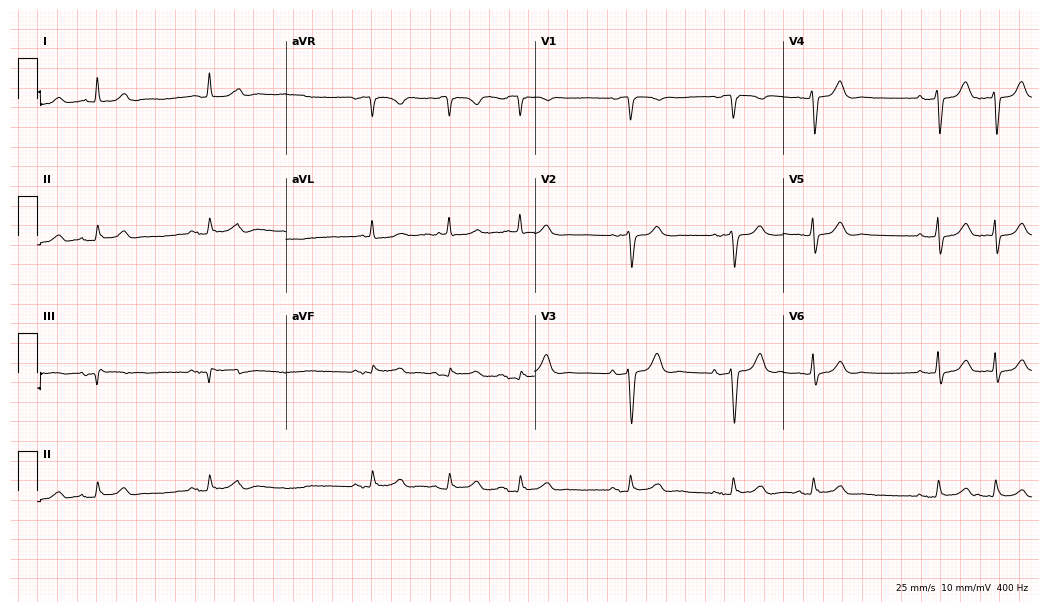
Resting 12-lead electrocardiogram (10.1-second recording at 400 Hz). Patient: an 80-year-old man. None of these six findings is recorded: first-degree AV block, right bundle branch block, left bundle branch block, sinus bradycardia, atrial fibrillation, sinus tachycardia.